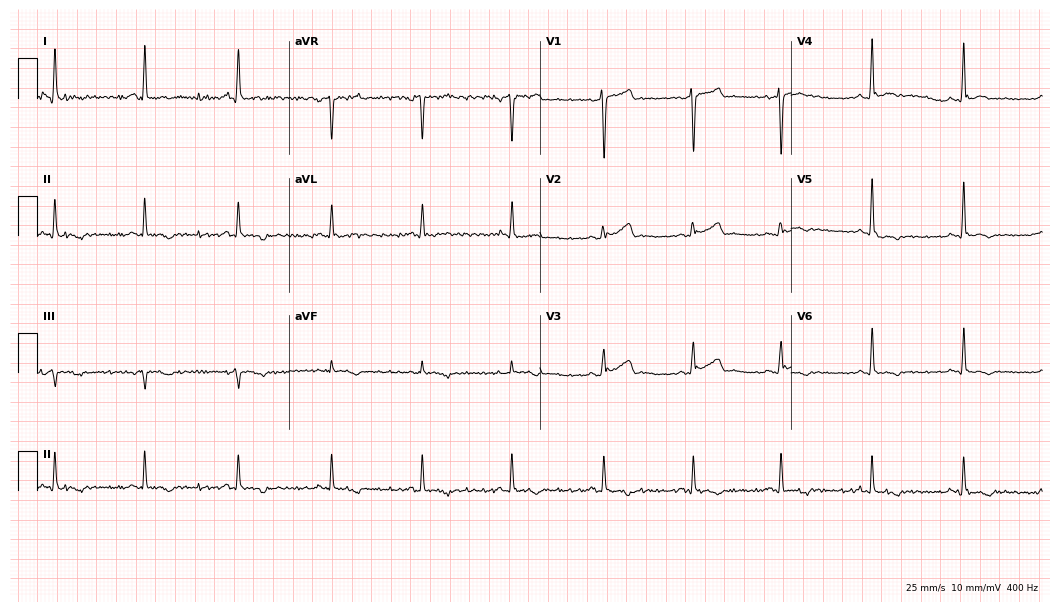
12-lead ECG from a 37-year-old male patient. No first-degree AV block, right bundle branch block, left bundle branch block, sinus bradycardia, atrial fibrillation or sinus tachycardia recorded for this tracing.